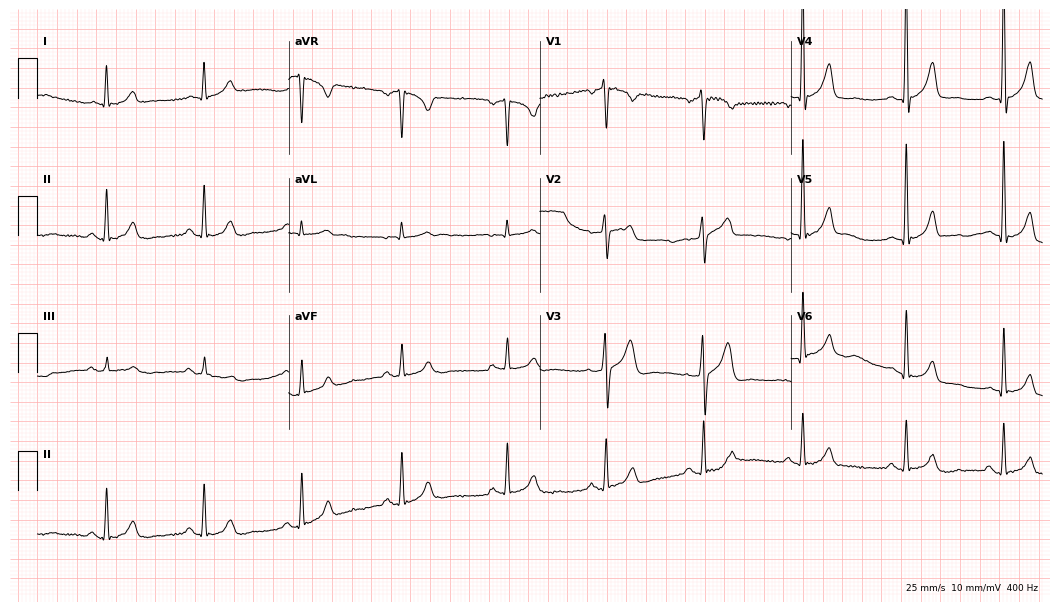
Electrocardiogram (10.2-second recording at 400 Hz), a 42-year-old male patient. Overall reading on record: normal ECG.